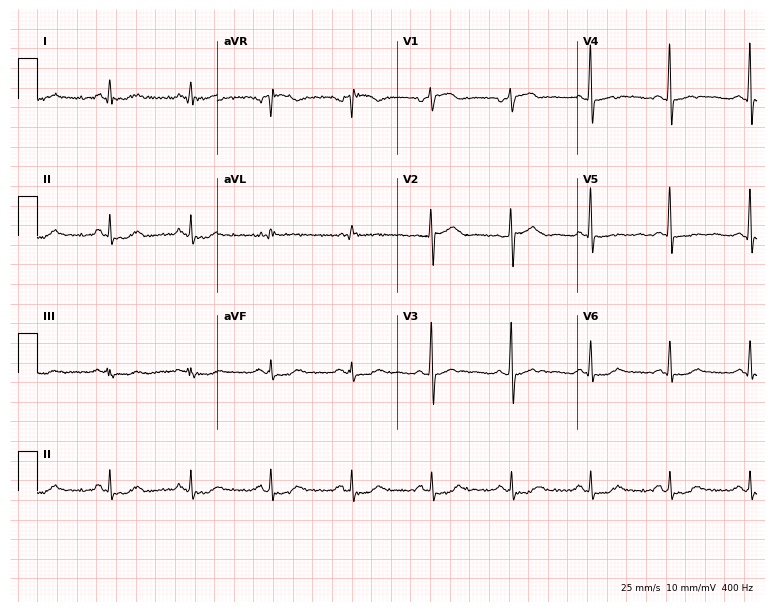
Electrocardiogram, a male patient, 59 years old. Of the six screened findings (first-degree AV block, right bundle branch block (RBBB), left bundle branch block (LBBB), sinus bradycardia, atrial fibrillation (AF), sinus tachycardia), none is recorded. Other findings, if any, are not listed.